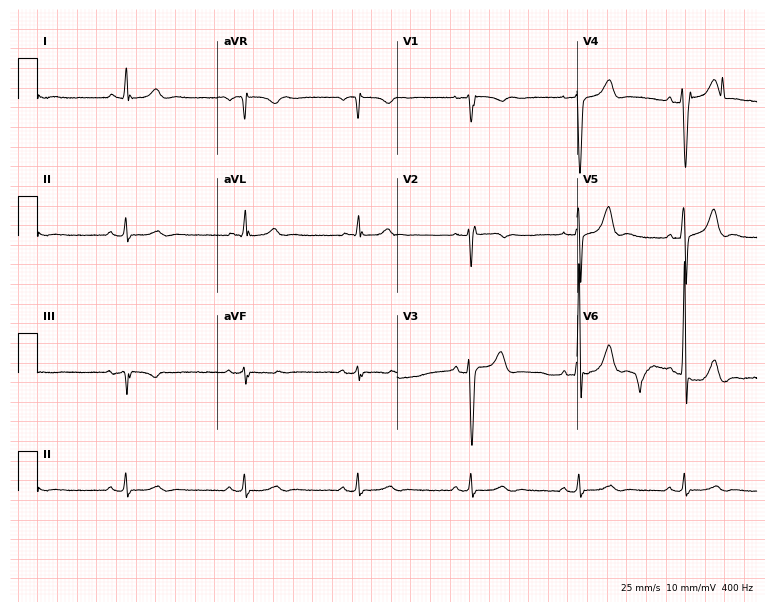
12-lead ECG (7.3-second recording at 400 Hz) from a 45-year-old man. Screened for six findings — first-degree AV block, right bundle branch block, left bundle branch block, sinus bradycardia, atrial fibrillation, sinus tachycardia — none is recorded. Only these six findings were labelled.